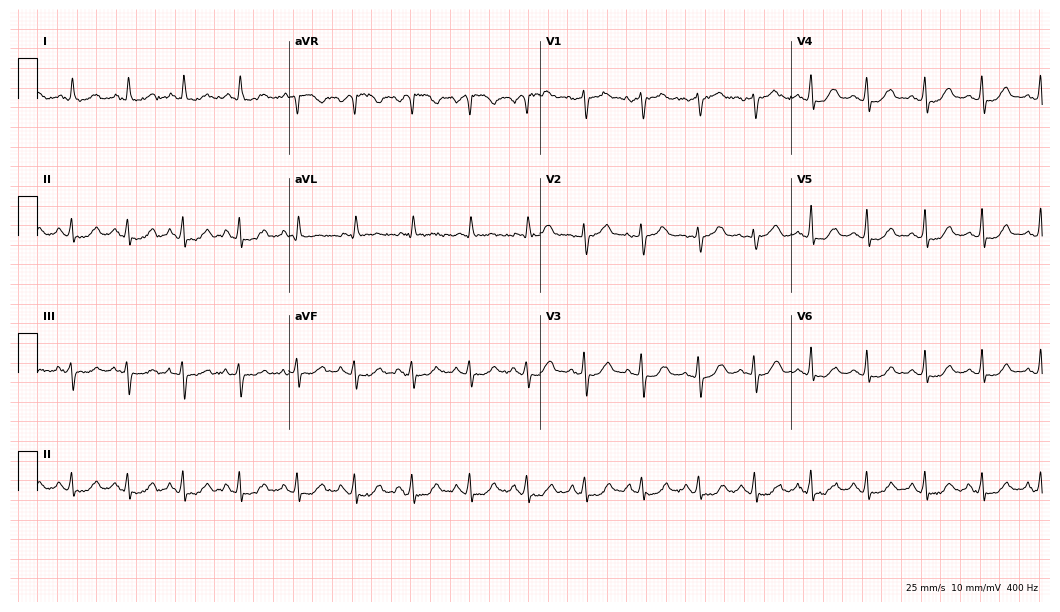
ECG (10.2-second recording at 400 Hz) — a female, 56 years old. Labelled as a normal ECG.